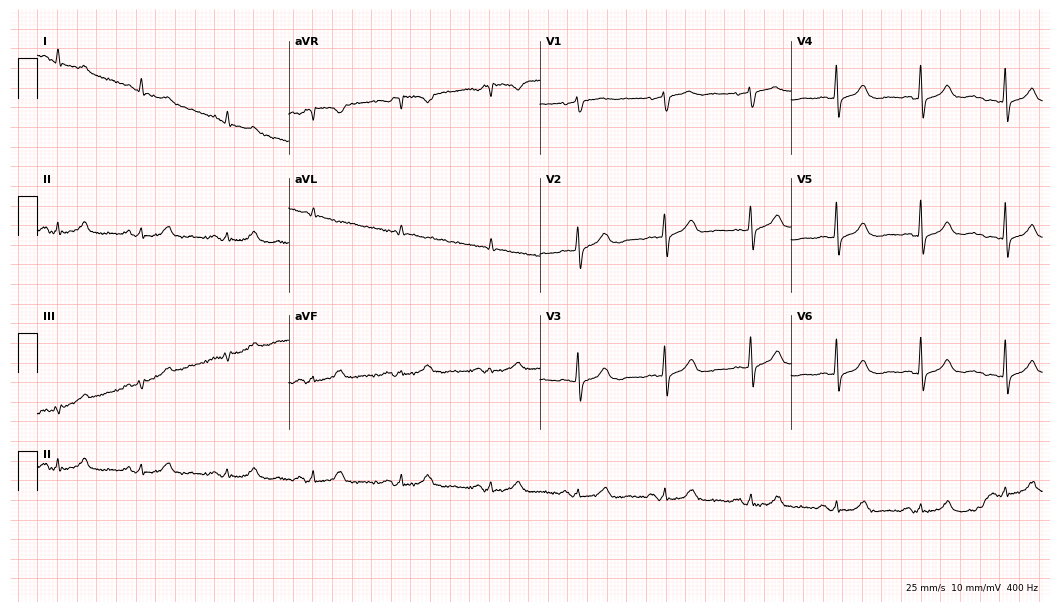
Resting 12-lead electrocardiogram. Patient: a 79-year-old male. None of these six findings is recorded: first-degree AV block, right bundle branch block, left bundle branch block, sinus bradycardia, atrial fibrillation, sinus tachycardia.